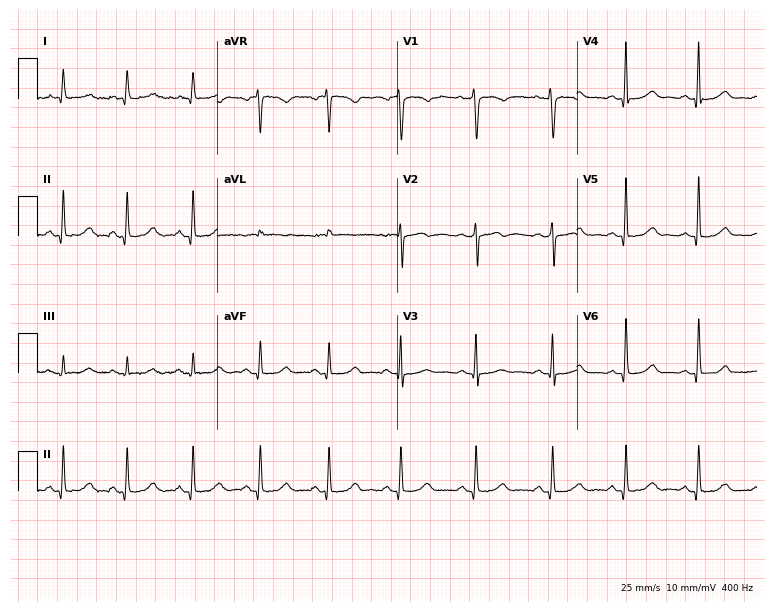
ECG (7.3-second recording at 400 Hz) — a 46-year-old woman. Screened for six findings — first-degree AV block, right bundle branch block (RBBB), left bundle branch block (LBBB), sinus bradycardia, atrial fibrillation (AF), sinus tachycardia — none is recorded.